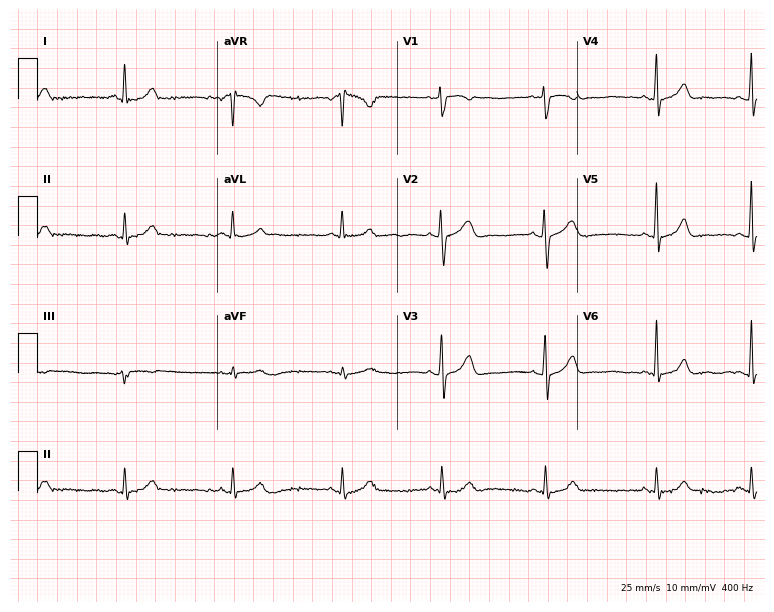
Electrocardiogram (7.3-second recording at 400 Hz), a female patient, 27 years old. Overall reading on record: normal ECG.